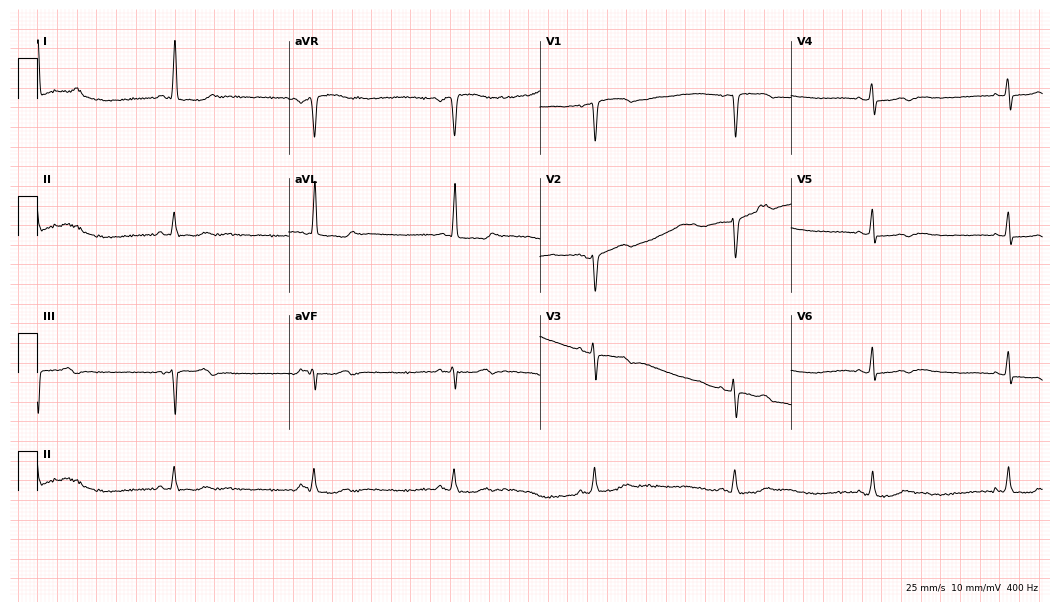
Resting 12-lead electrocardiogram (10.2-second recording at 400 Hz). Patient: a 71-year-old woman. None of these six findings is recorded: first-degree AV block, right bundle branch block, left bundle branch block, sinus bradycardia, atrial fibrillation, sinus tachycardia. Other findings, if any, are not listed.